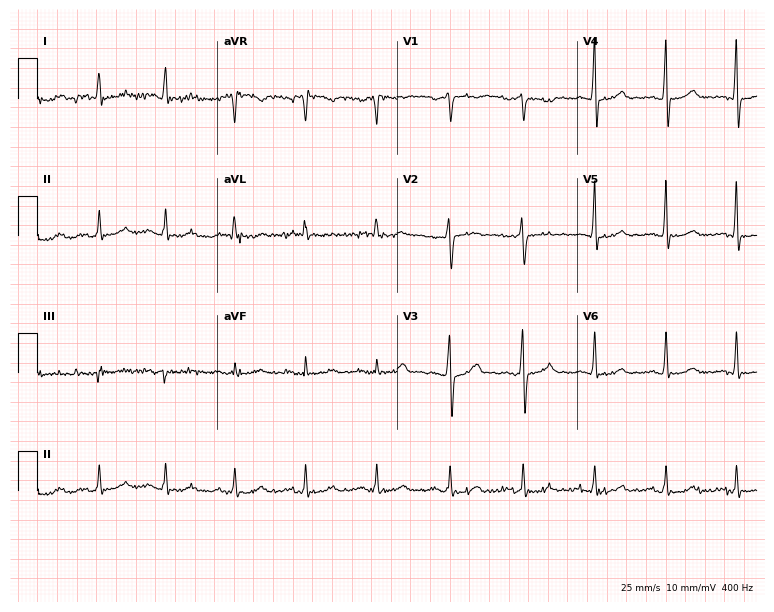
12-lead ECG from a male patient, 49 years old. No first-degree AV block, right bundle branch block (RBBB), left bundle branch block (LBBB), sinus bradycardia, atrial fibrillation (AF) or sinus tachycardia recorded for this tracing.